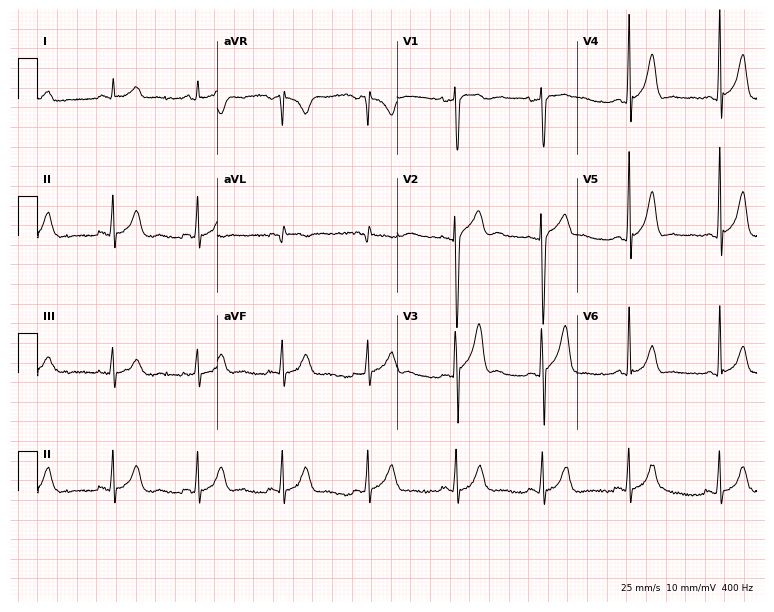
Standard 12-lead ECG recorded from a man, 21 years old. None of these six findings is recorded: first-degree AV block, right bundle branch block, left bundle branch block, sinus bradycardia, atrial fibrillation, sinus tachycardia. Other findings, if any, are not listed.